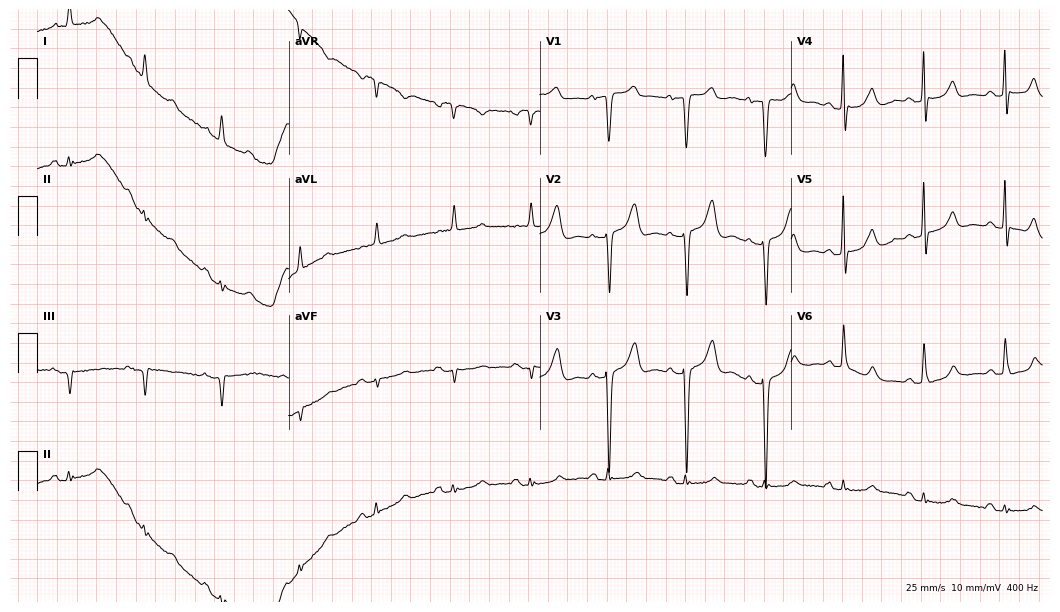
Standard 12-lead ECG recorded from an 85-year-old female patient. None of these six findings is recorded: first-degree AV block, right bundle branch block, left bundle branch block, sinus bradycardia, atrial fibrillation, sinus tachycardia. Other findings, if any, are not listed.